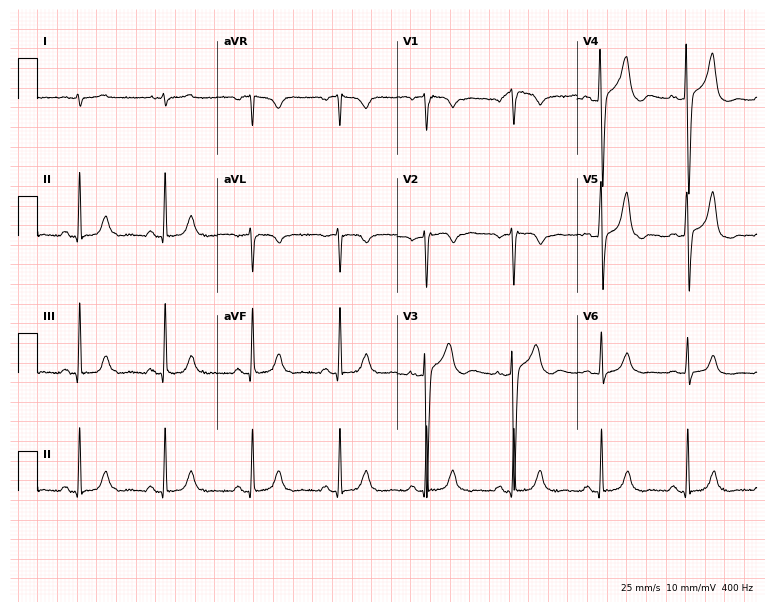
Standard 12-lead ECG recorded from a 65-year-old man. None of these six findings is recorded: first-degree AV block, right bundle branch block, left bundle branch block, sinus bradycardia, atrial fibrillation, sinus tachycardia.